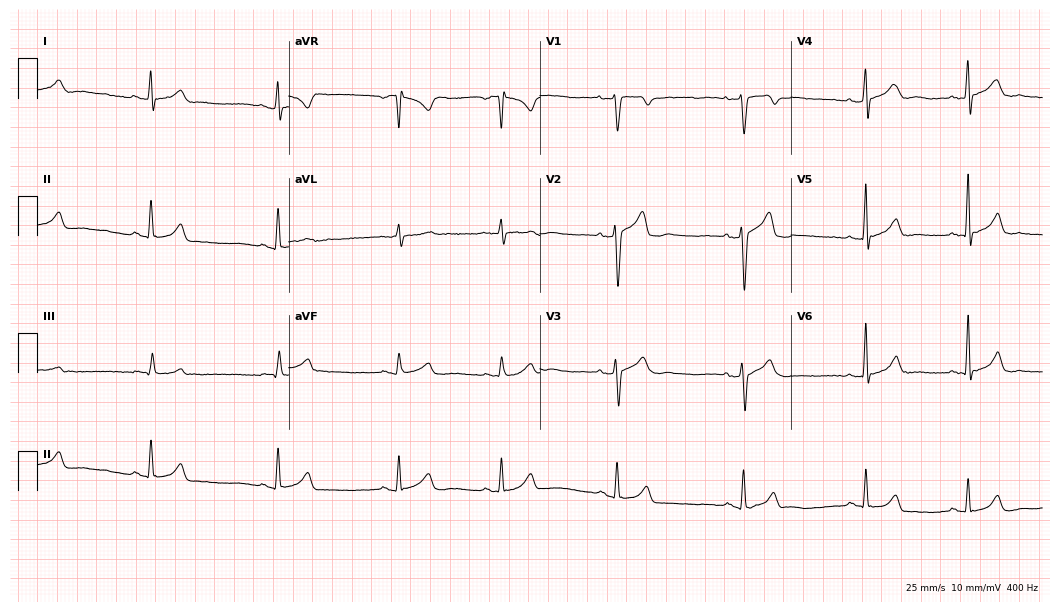
Resting 12-lead electrocardiogram. Patient: a man, 38 years old. Read as a normal ECG.